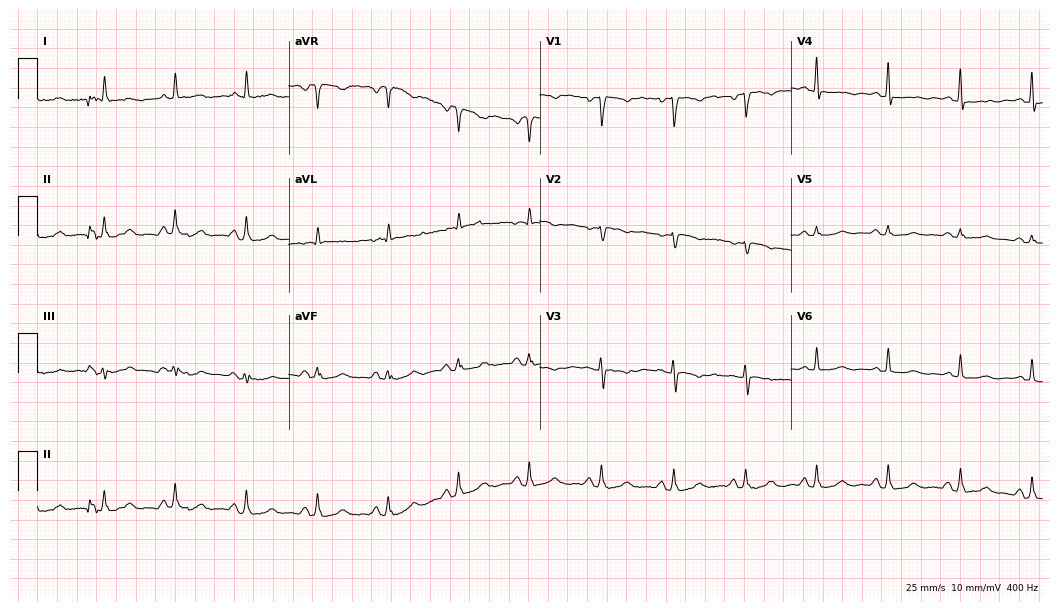
12-lead ECG from a female patient, 73 years old. Screened for six findings — first-degree AV block, right bundle branch block, left bundle branch block, sinus bradycardia, atrial fibrillation, sinus tachycardia — none is recorded. Only these six findings were labelled.